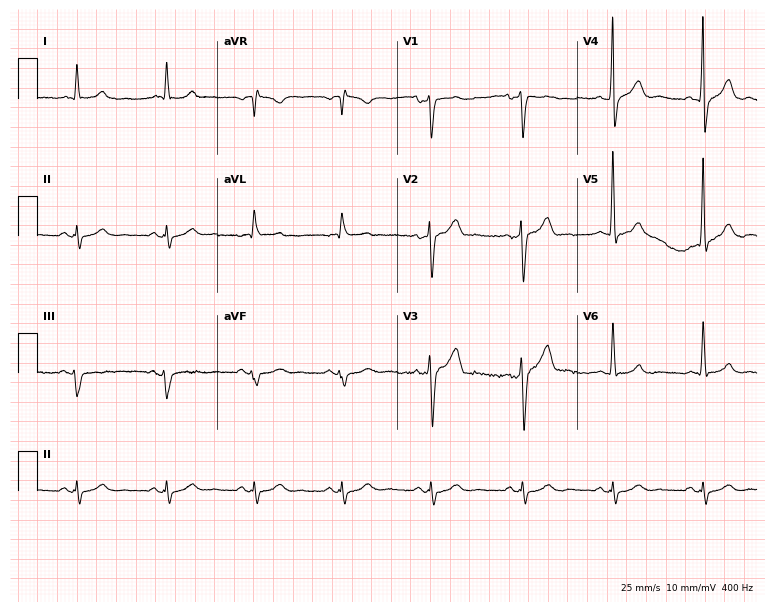
ECG (7.3-second recording at 400 Hz) — a 47-year-old male patient. Screened for six findings — first-degree AV block, right bundle branch block (RBBB), left bundle branch block (LBBB), sinus bradycardia, atrial fibrillation (AF), sinus tachycardia — none is recorded.